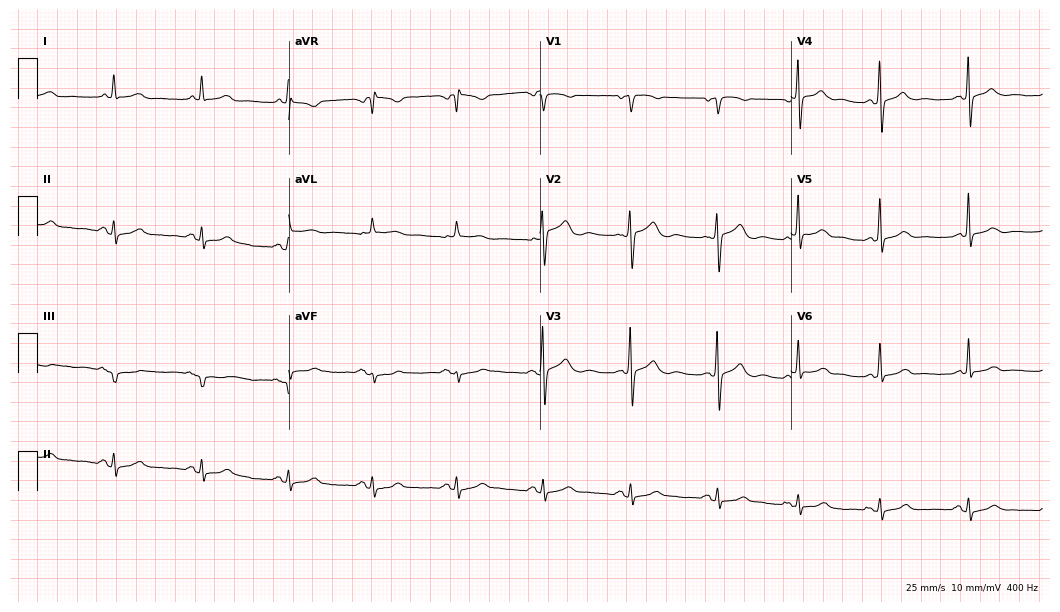
Standard 12-lead ECG recorded from a 68-year-old female (10.2-second recording at 400 Hz). Read as a normal ECG.